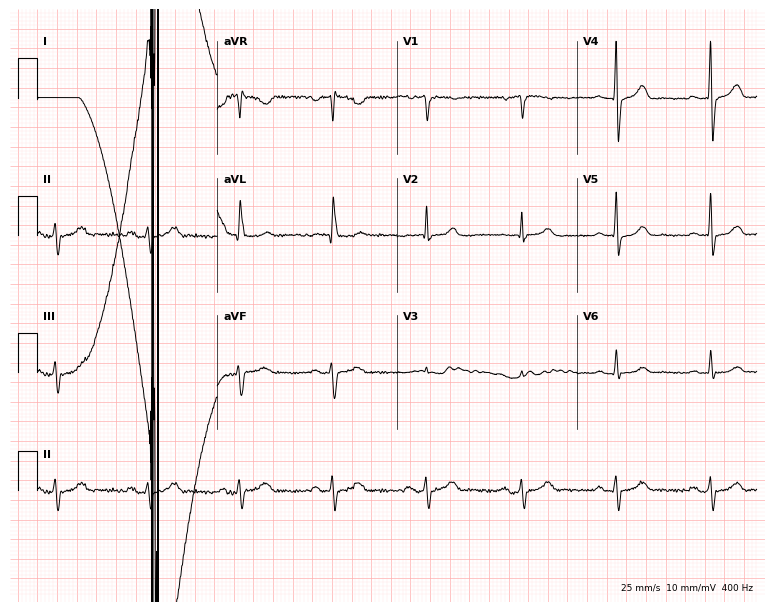
Resting 12-lead electrocardiogram (7.3-second recording at 400 Hz). Patient: a male, 76 years old. None of these six findings is recorded: first-degree AV block, right bundle branch block (RBBB), left bundle branch block (LBBB), sinus bradycardia, atrial fibrillation (AF), sinus tachycardia. Findings outside these six are not listed.